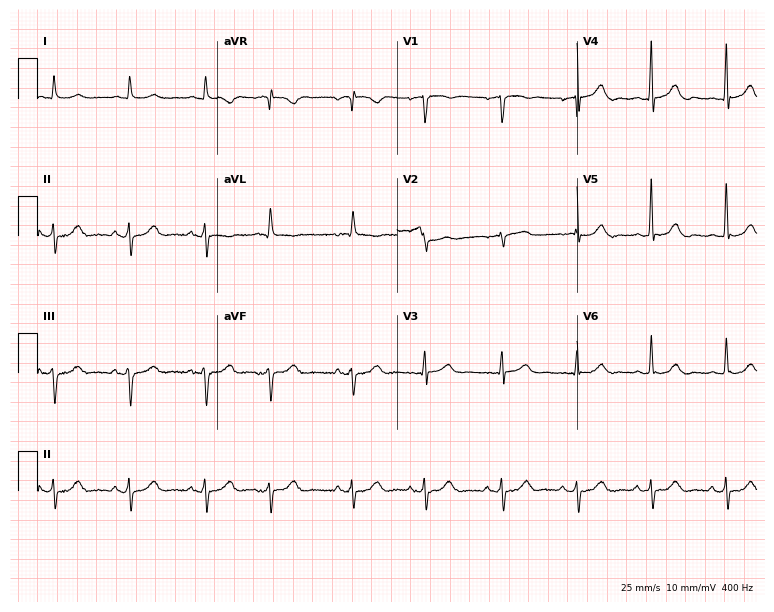
Electrocardiogram (7.3-second recording at 400 Hz), an 85-year-old male patient. Of the six screened findings (first-degree AV block, right bundle branch block (RBBB), left bundle branch block (LBBB), sinus bradycardia, atrial fibrillation (AF), sinus tachycardia), none is recorded.